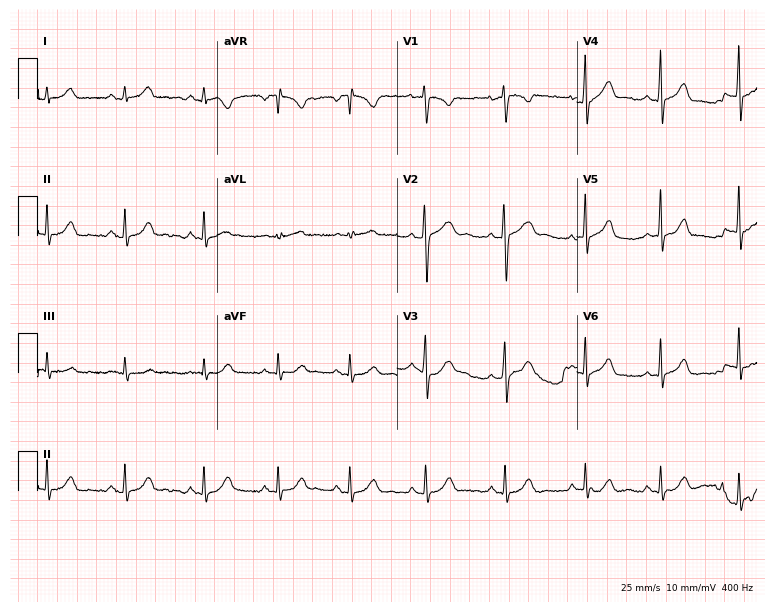
12-lead ECG (7.3-second recording at 400 Hz) from a woman, 24 years old. Labelled as a normal ECG.